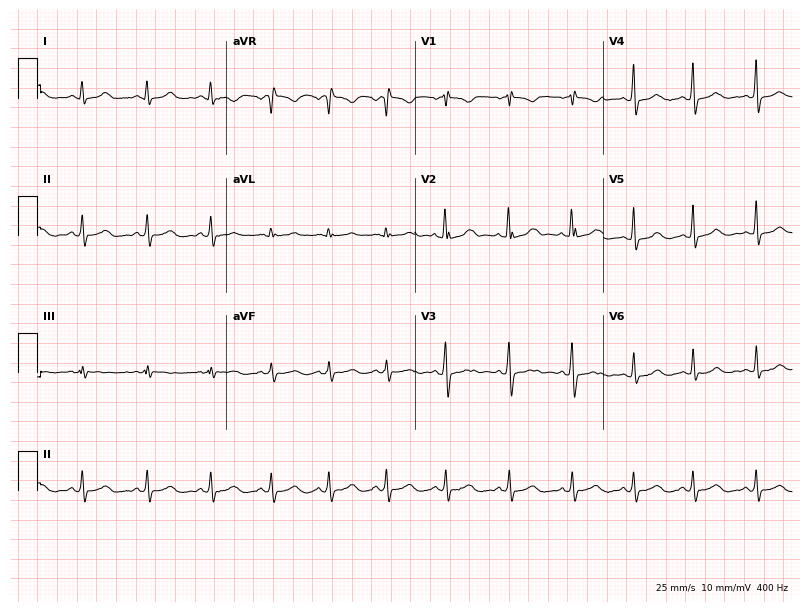
Resting 12-lead electrocardiogram. Patient: a 20-year-old female. Read as a normal ECG.